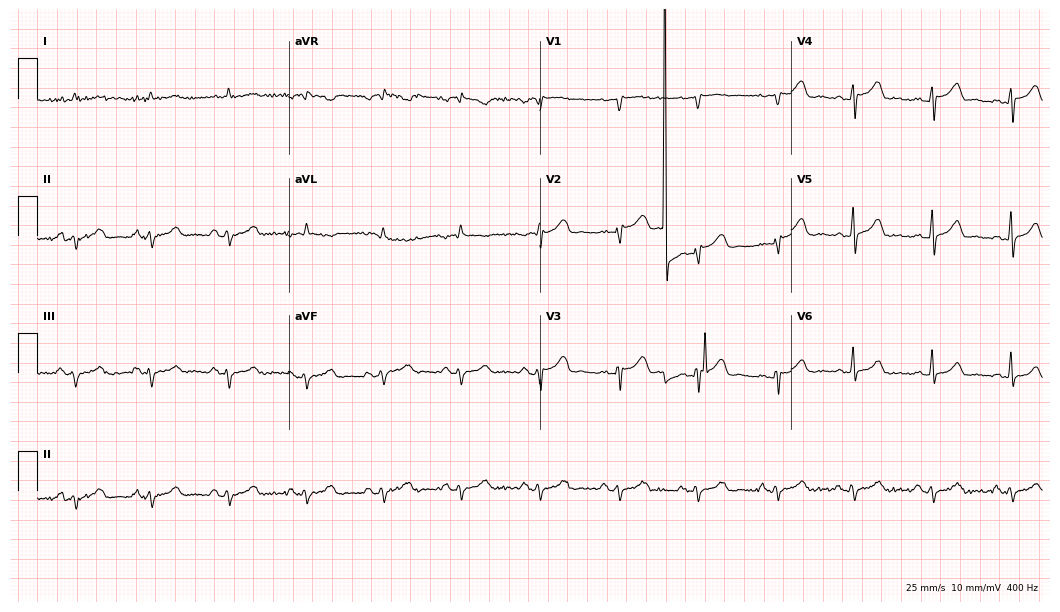
Electrocardiogram (10.2-second recording at 400 Hz), a 69-year-old female patient. Of the six screened findings (first-degree AV block, right bundle branch block, left bundle branch block, sinus bradycardia, atrial fibrillation, sinus tachycardia), none is recorded. Other findings, if any, are not listed.